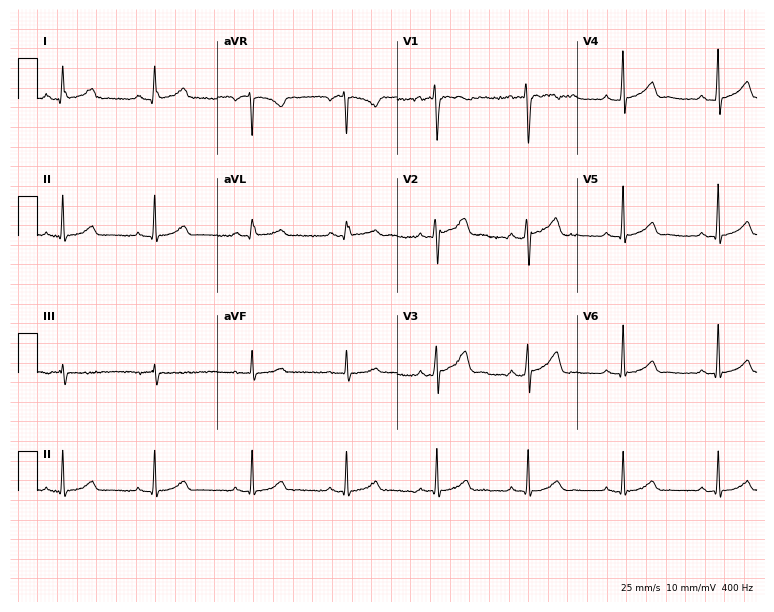
ECG — a 37-year-old female. Labelled as a normal ECG.